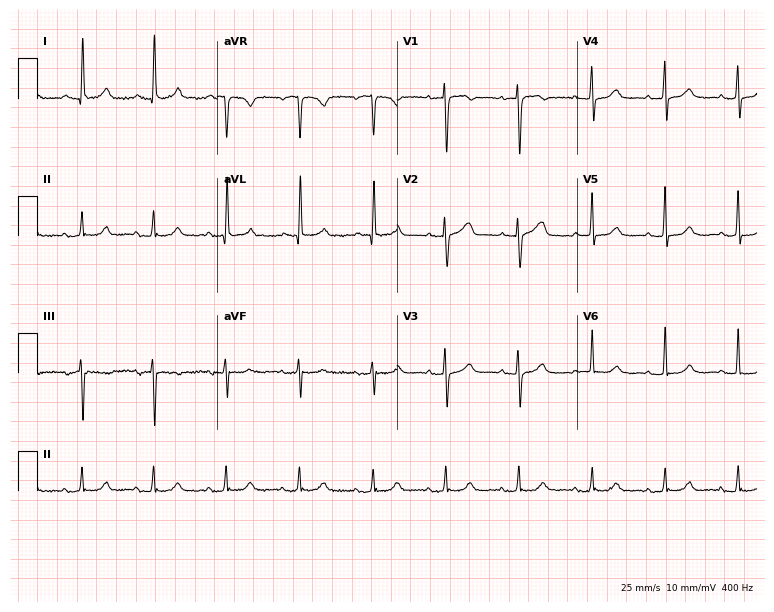
Electrocardiogram (7.3-second recording at 400 Hz), a 78-year-old woman. Of the six screened findings (first-degree AV block, right bundle branch block, left bundle branch block, sinus bradycardia, atrial fibrillation, sinus tachycardia), none is recorded. Only these six findings were labelled.